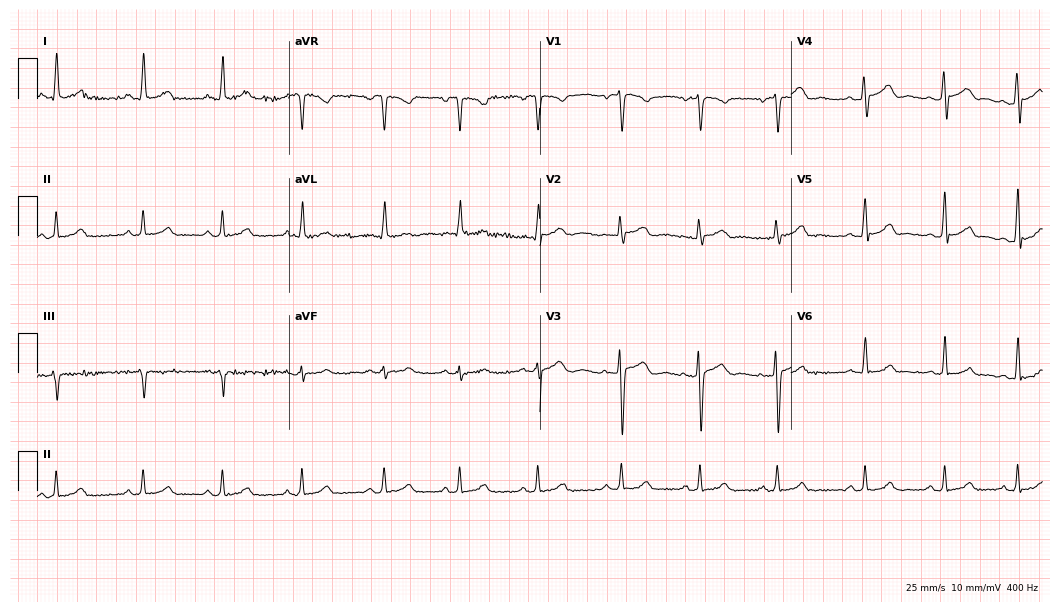
12-lead ECG from a 19-year-old female patient (10.2-second recording at 400 Hz). Recorded interpretation: within normal limits.